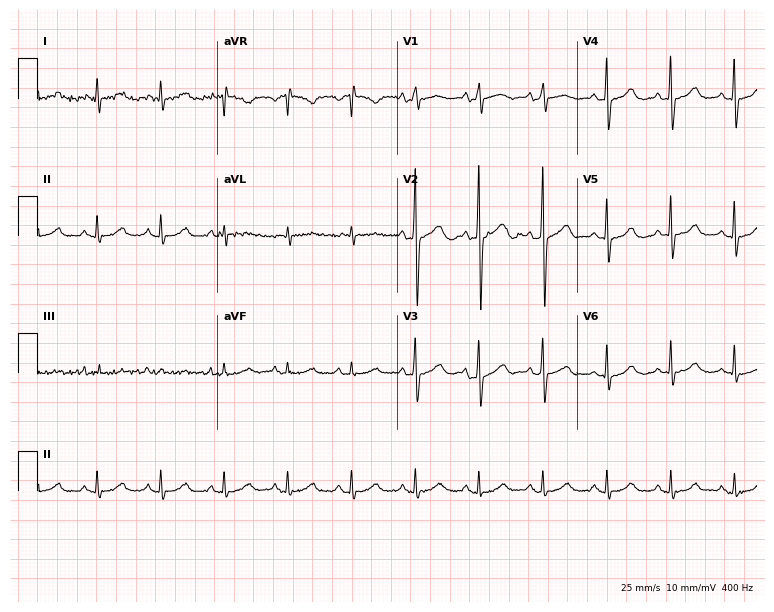
Resting 12-lead electrocardiogram (7.3-second recording at 400 Hz). Patient: a male, 63 years old. None of these six findings is recorded: first-degree AV block, right bundle branch block, left bundle branch block, sinus bradycardia, atrial fibrillation, sinus tachycardia. Findings outside these six are not listed.